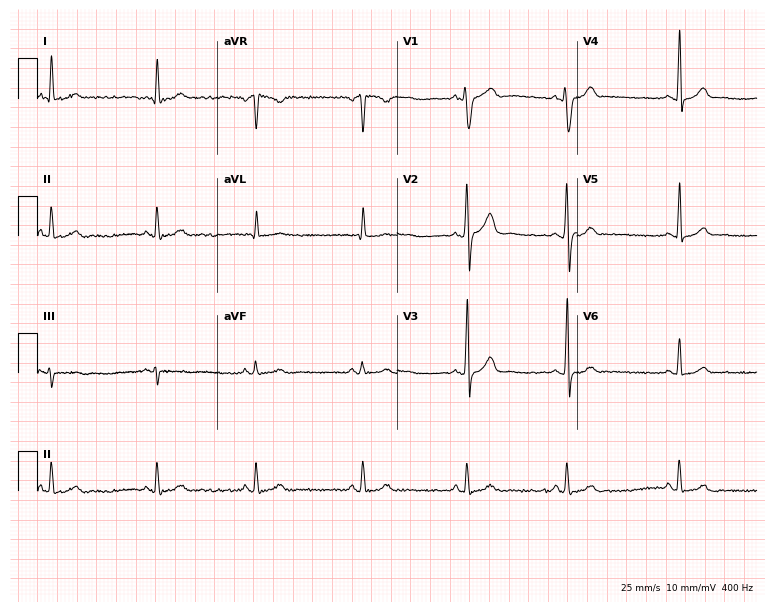
12-lead ECG from a 28-year-old male patient (7.3-second recording at 400 Hz). No first-degree AV block, right bundle branch block (RBBB), left bundle branch block (LBBB), sinus bradycardia, atrial fibrillation (AF) or sinus tachycardia recorded for this tracing. Only these six findings were labelled.